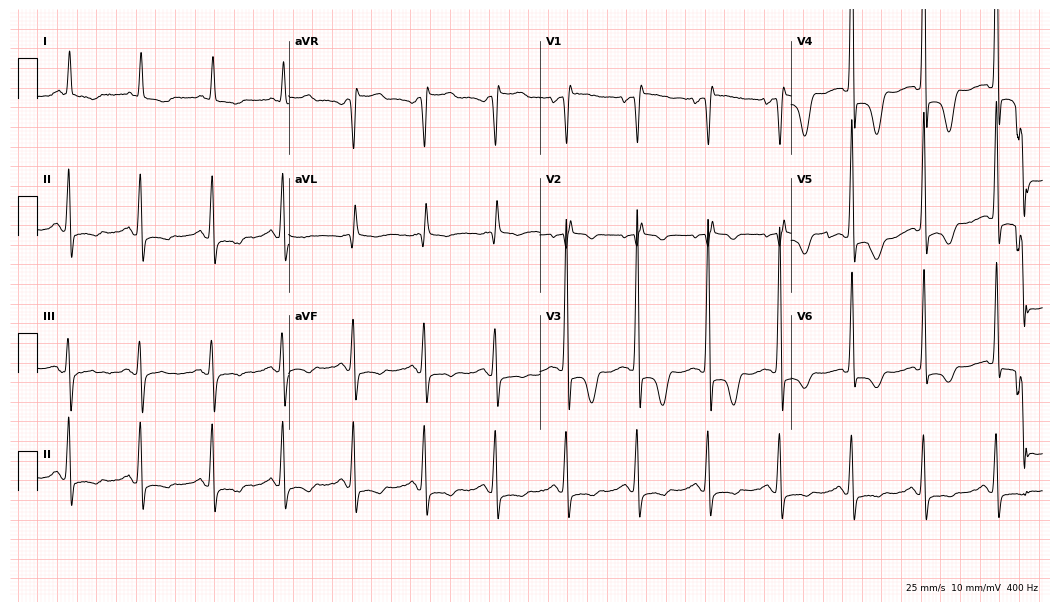
Resting 12-lead electrocardiogram (10.2-second recording at 400 Hz). Patient: a 69-year-old woman. None of these six findings is recorded: first-degree AV block, right bundle branch block, left bundle branch block, sinus bradycardia, atrial fibrillation, sinus tachycardia. Other findings, if any, are not listed.